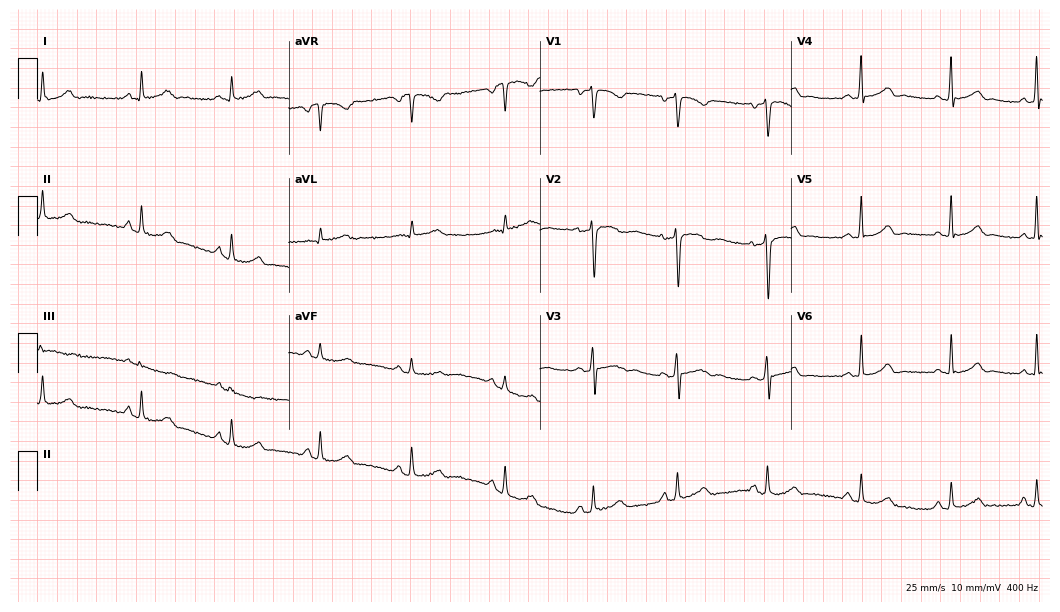
12-lead ECG (10.2-second recording at 400 Hz) from a 31-year-old woman. Labelled as a normal ECG.